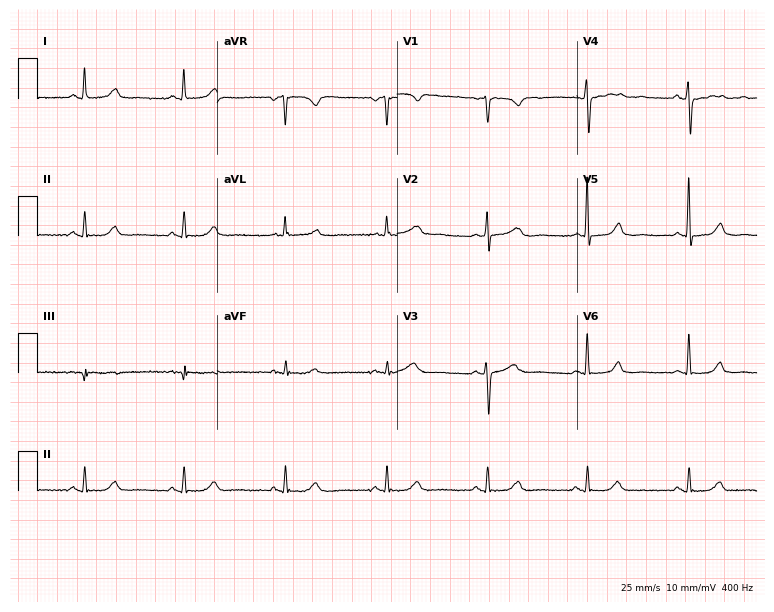
Standard 12-lead ECG recorded from a 52-year-old woman (7.3-second recording at 400 Hz). Read as a normal ECG.